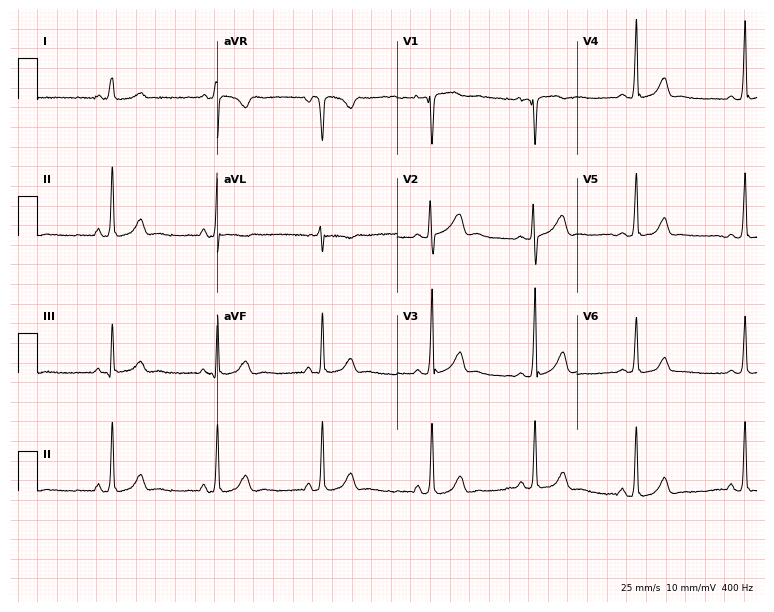
Electrocardiogram (7.3-second recording at 400 Hz), a 20-year-old woman. Overall reading on record: normal ECG.